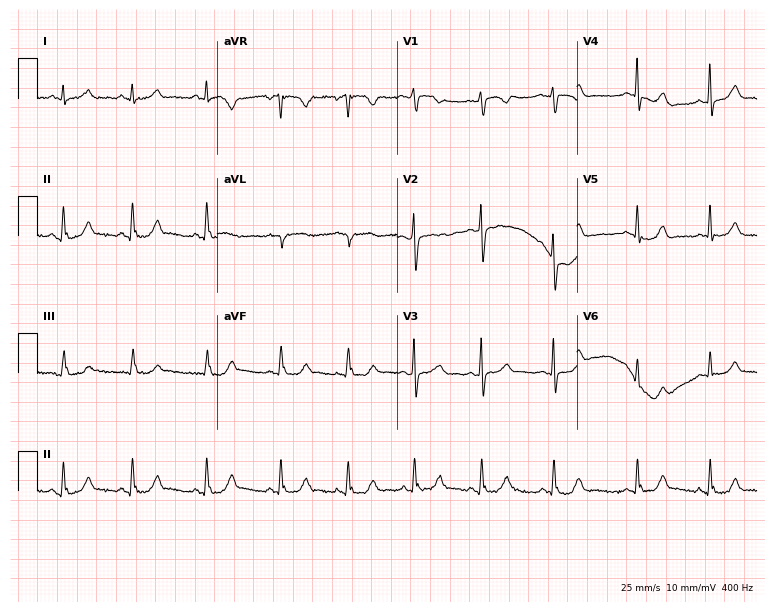
12-lead ECG from a female, 25 years old (7.3-second recording at 400 Hz). Recorded interpretation: within normal limits.